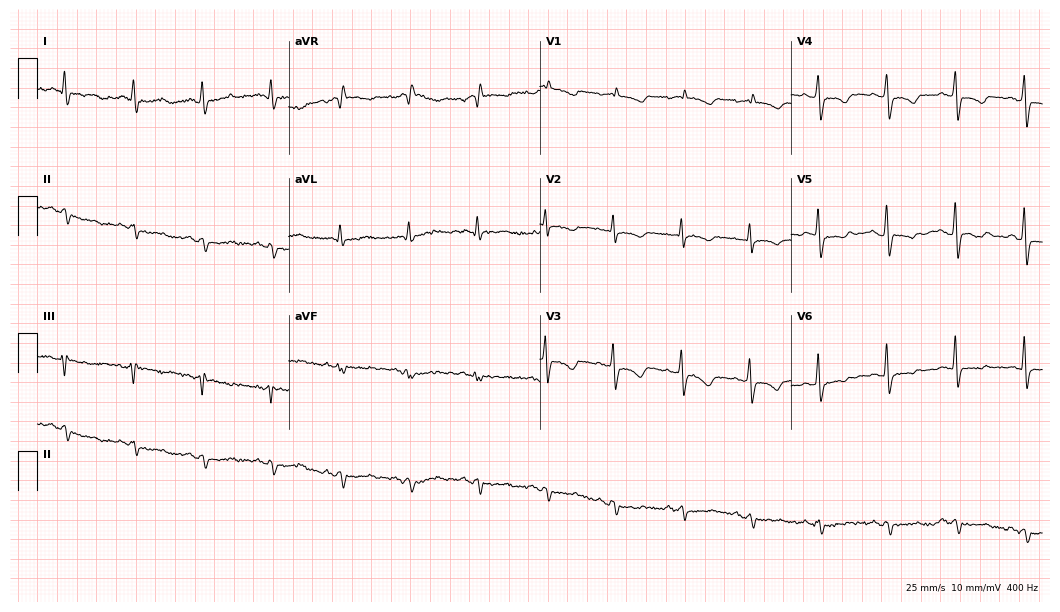
12-lead ECG from a woman, 81 years old. No first-degree AV block, right bundle branch block, left bundle branch block, sinus bradycardia, atrial fibrillation or sinus tachycardia recorded for this tracing. Findings outside these six are not listed.